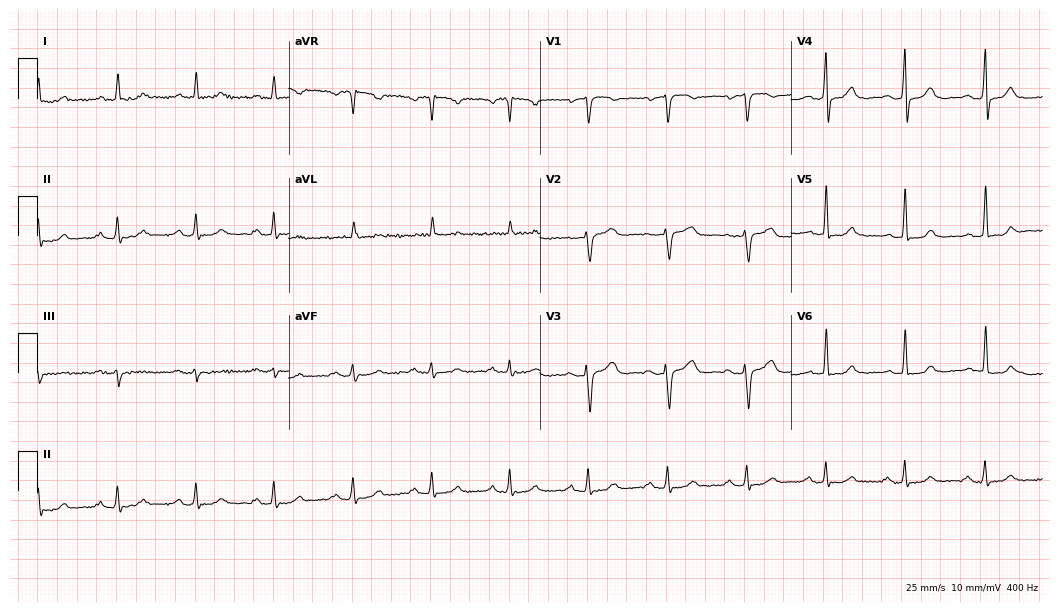
Electrocardiogram, a 60-year-old female. Overall reading on record: normal ECG.